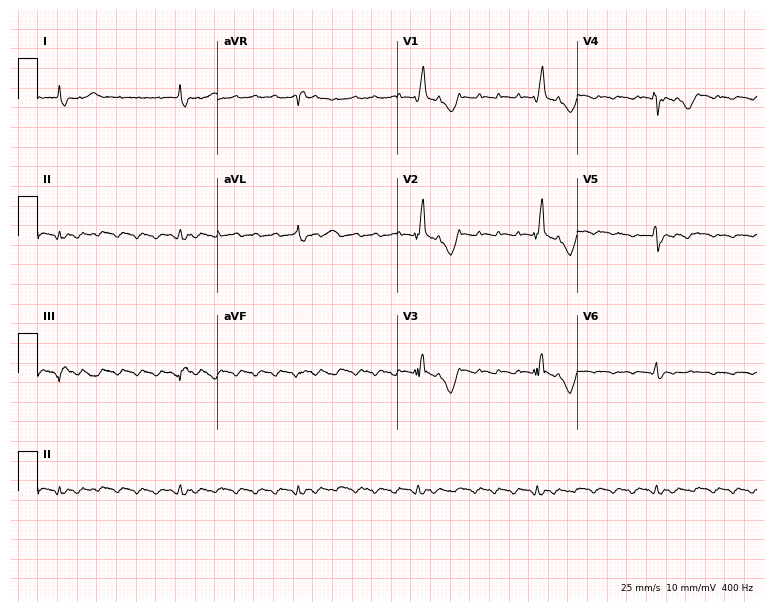
12-lead ECG from a male, 46 years old. Shows right bundle branch block.